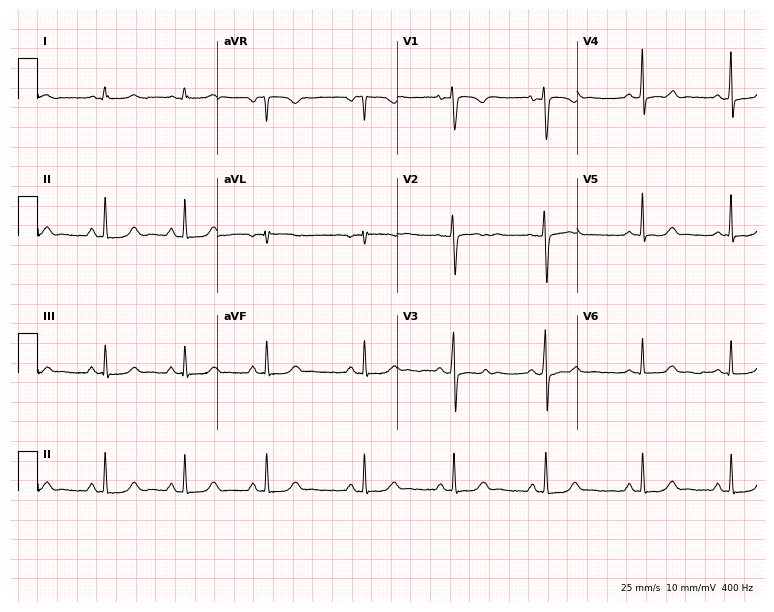
ECG — a 23-year-old female patient. Screened for six findings — first-degree AV block, right bundle branch block, left bundle branch block, sinus bradycardia, atrial fibrillation, sinus tachycardia — none is recorded. Other findings, if any, are not listed.